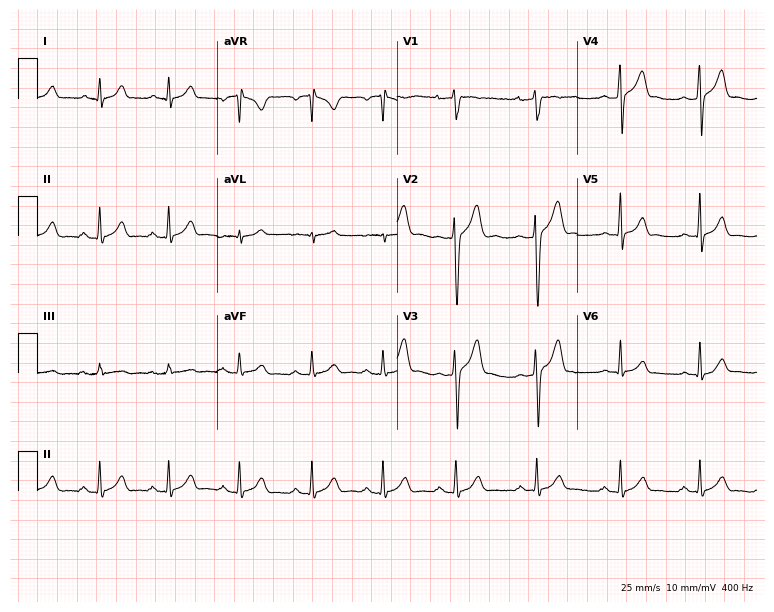
12-lead ECG from a 27-year-old man. No first-degree AV block, right bundle branch block (RBBB), left bundle branch block (LBBB), sinus bradycardia, atrial fibrillation (AF) or sinus tachycardia recorded for this tracing. Findings outside these six are not listed.